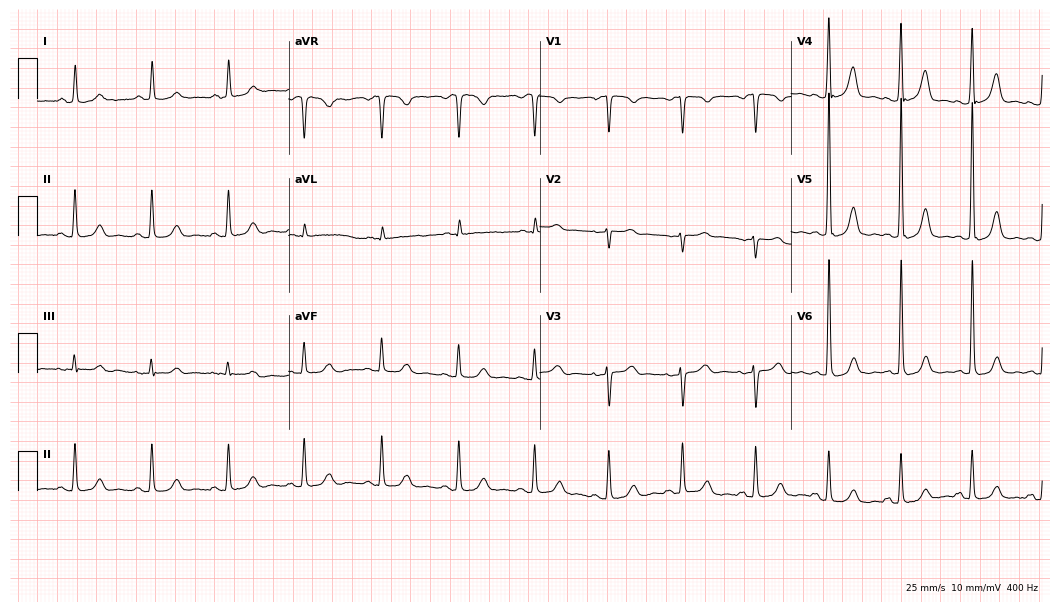
ECG — a 75-year-old woman. Screened for six findings — first-degree AV block, right bundle branch block, left bundle branch block, sinus bradycardia, atrial fibrillation, sinus tachycardia — none is recorded.